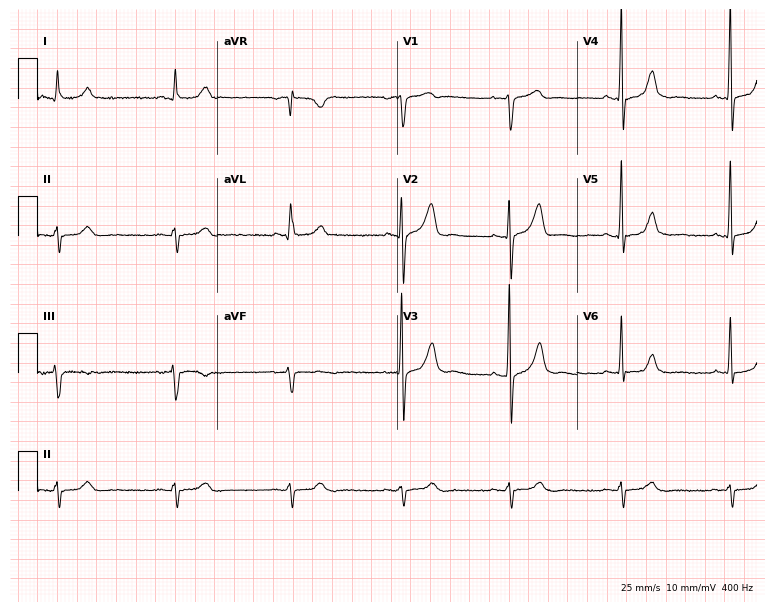
Resting 12-lead electrocardiogram (7.3-second recording at 400 Hz). Patient: a male, 55 years old. None of these six findings is recorded: first-degree AV block, right bundle branch block, left bundle branch block, sinus bradycardia, atrial fibrillation, sinus tachycardia.